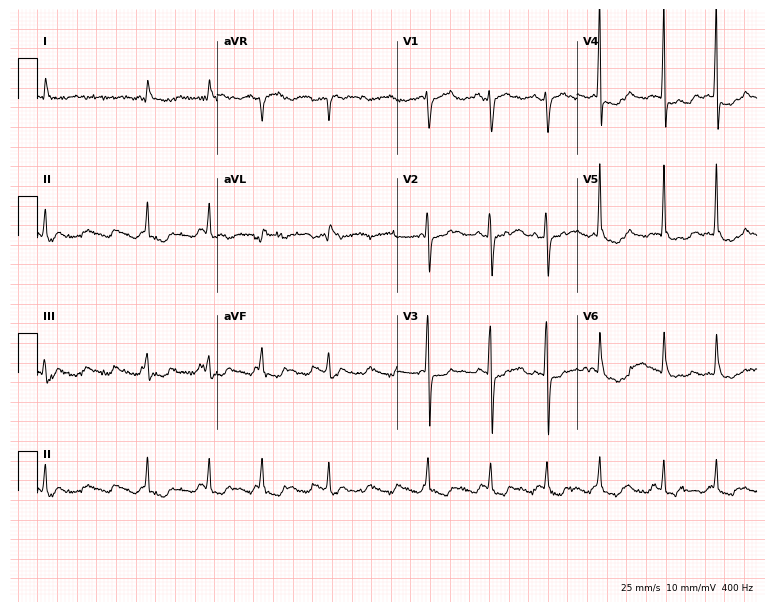
Standard 12-lead ECG recorded from a 70-year-old male patient (7.3-second recording at 400 Hz). None of these six findings is recorded: first-degree AV block, right bundle branch block, left bundle branch block, sinus bradycardia, atrial fibrillation, sinus tachycardia. Other findings, if any, are not listed.